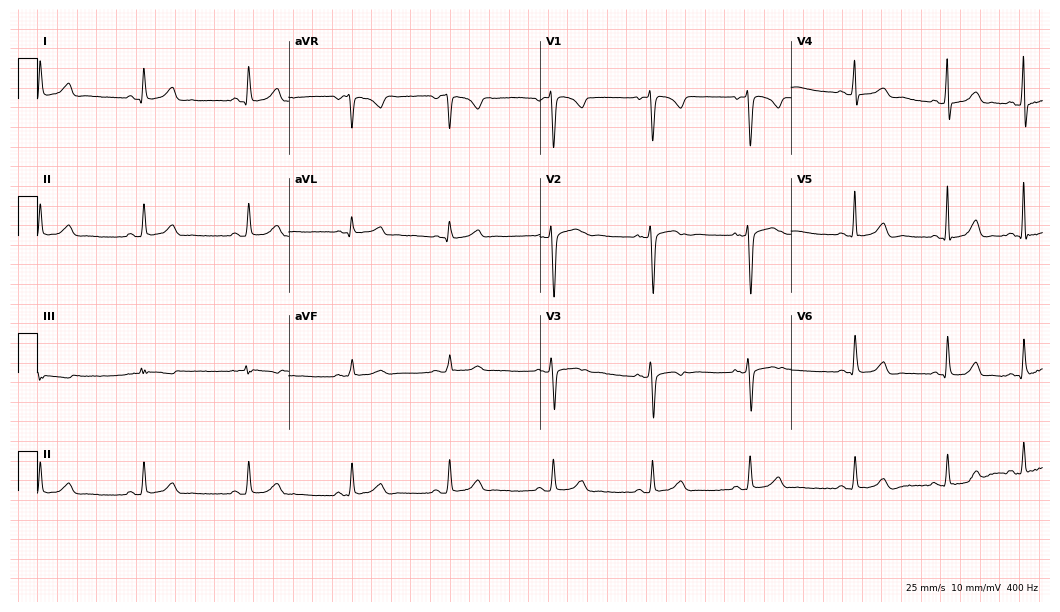
12-lead ECG from a 25-year-old woman. Recorded interpretation: within normal limits.